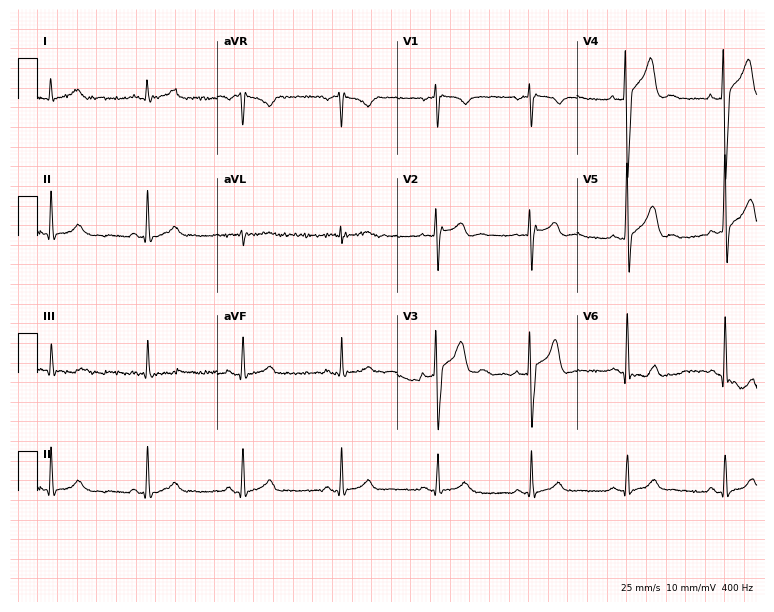
ECG — a 40-year-old man. Screened for six findings — first-degree AV block, right bundle branch block (RBBB), left bundle branch block (LBBB), sinus bradycardia, atrial fibrillation (AF), sinus tachycardia — none is recorded.